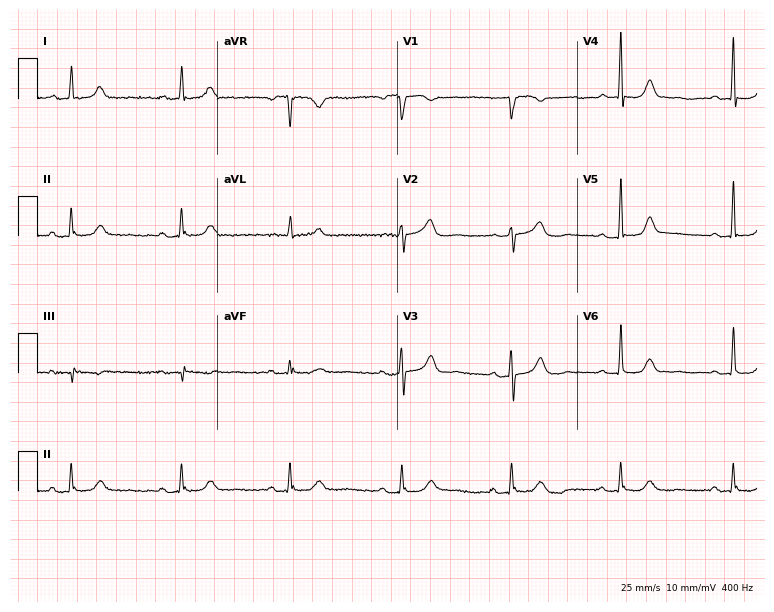
Standard 12-lead ECG recorded from a female patient, 68 years old (7.3-second recording at 400 Hz). None of these six findings is recorded: first-degree AV block, right bundle branch block, left bundle branch block, sinus bradycardia, atrial fibrillation, sinus tachycardia. Findings outside these six are not listed.